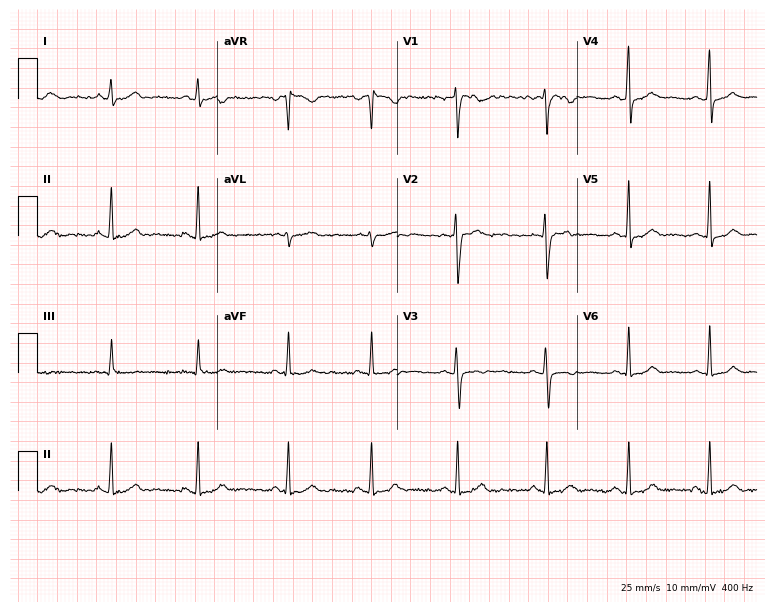
Resting 12-lead electrocardiogram (7.3-second recording at 400 Hz). Patient: a female, 21 years old. Read as a normal ECG.